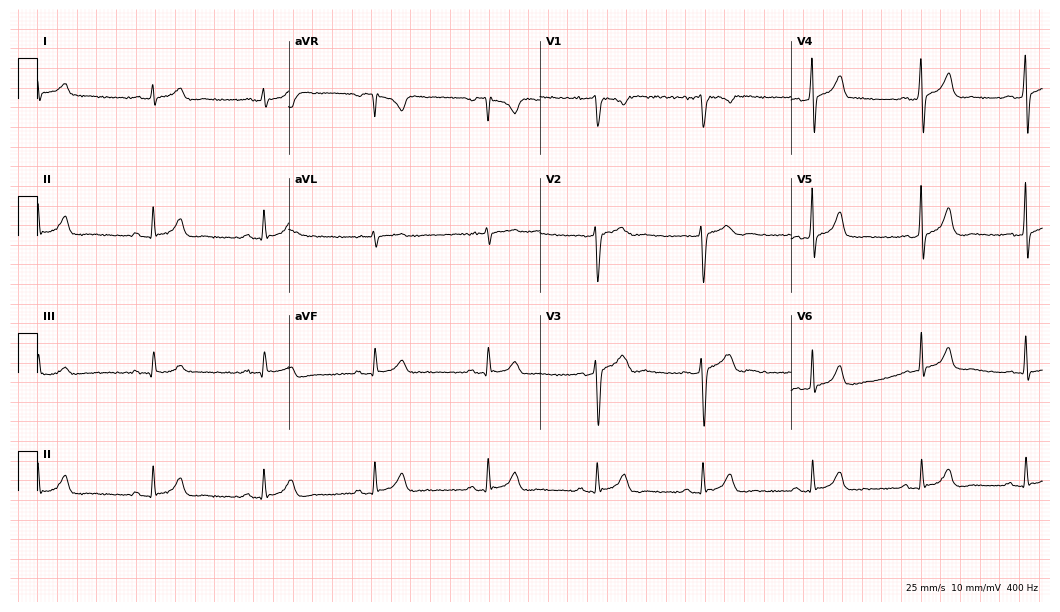
12-lead ECG from a 32-year-old male. Screened for six findings — first-degree AV block, right bundle branch block, left bundle branch block, sinus bradycardia, atrial fibrillation, sinus tachycardia — none is recorded. Only these six findings were labelled.